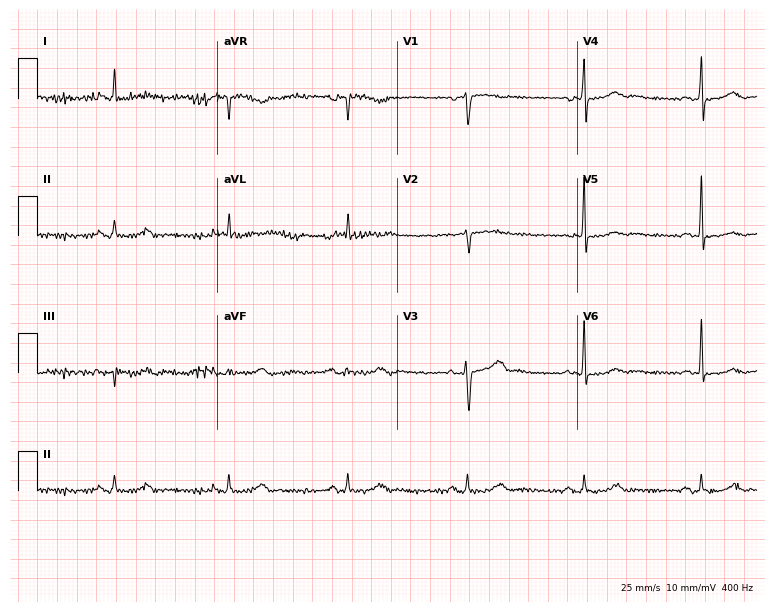
12-lead ECG from a 73-year-old female (7.3-second recording at 400 Hz). Shows sinus bradycardia (a sinus rate of 50 beats per minute or less).